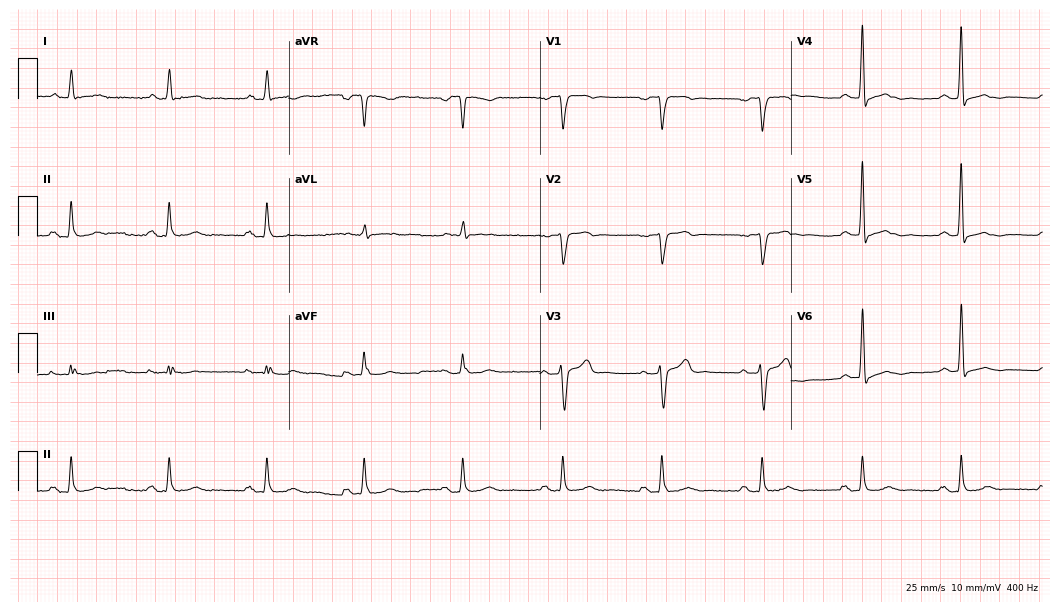
Standard 12-lead ECG recorded from a 67-year-old man. None of these six findings is recorded: first-degree AV block, right bundle branch block (RBBB), left bundle branch block (LBBB), sinus bradycardia, atrial fibrillation (AF), sinus tachycardia. Only these six findings were labelled.